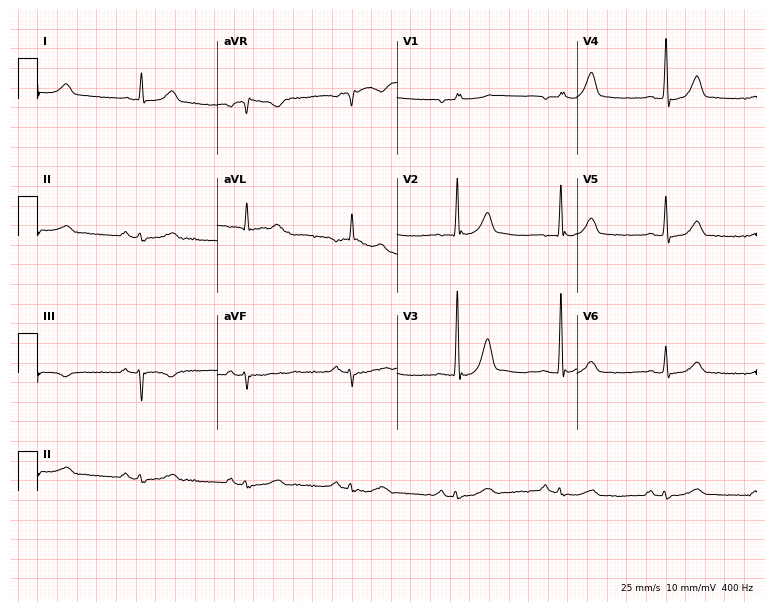
12-lead ECG from a male, 76 years old (7.3-second recording at 400 Hz). No first-degree AV block, right bundle branch block, left bundle branch block, sinus bradycardia, atrial fibrillation or sinus tachycardia recorded for this tracing. Only these six findings were labelled.